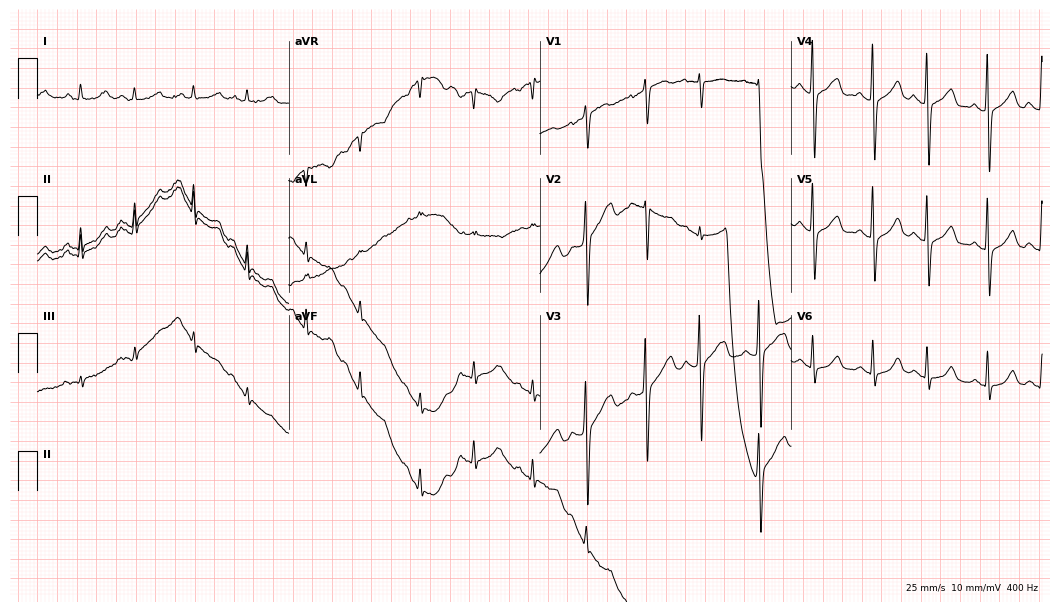
ECG — a female patient, 81 years old. Findings include sinus tachycardia (a sinus rate of 100 beats per minute or more).